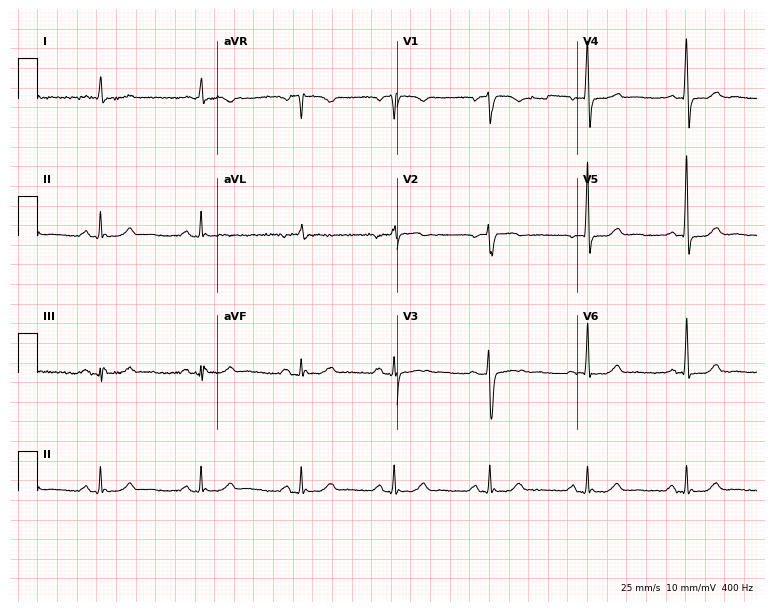
Electrocardiogram, a 58-year-old female patient. Overall reading on record: normal ECG.